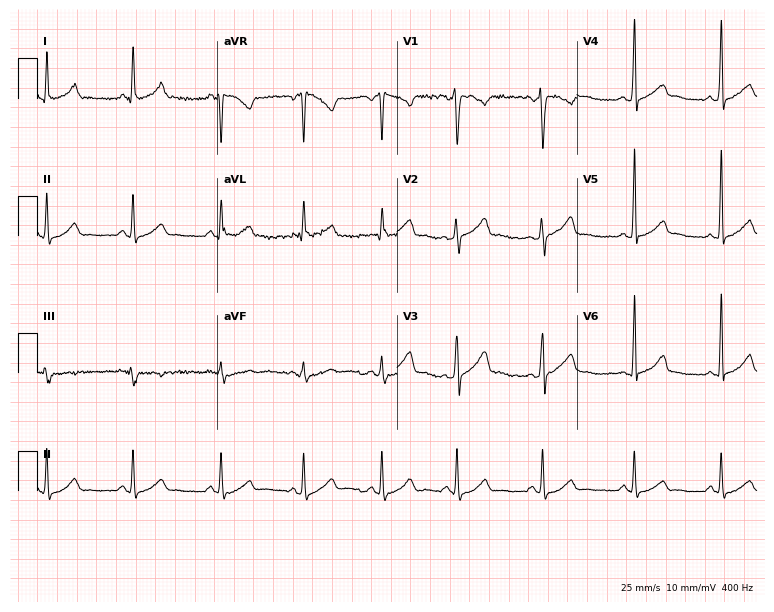
12-lead ECG from a 33-year-old male patient. Labelled as a normal ECG.